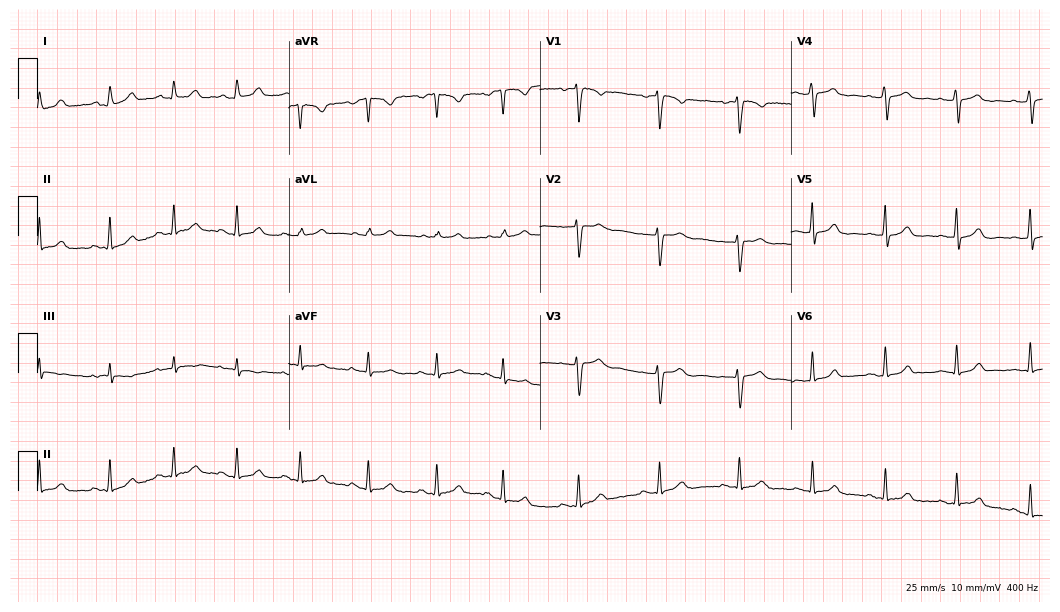
12-lead ECG from a 20-year-old female patient (10.2-second recording at 400 Hz). Recorded interpretation: within normal limits.